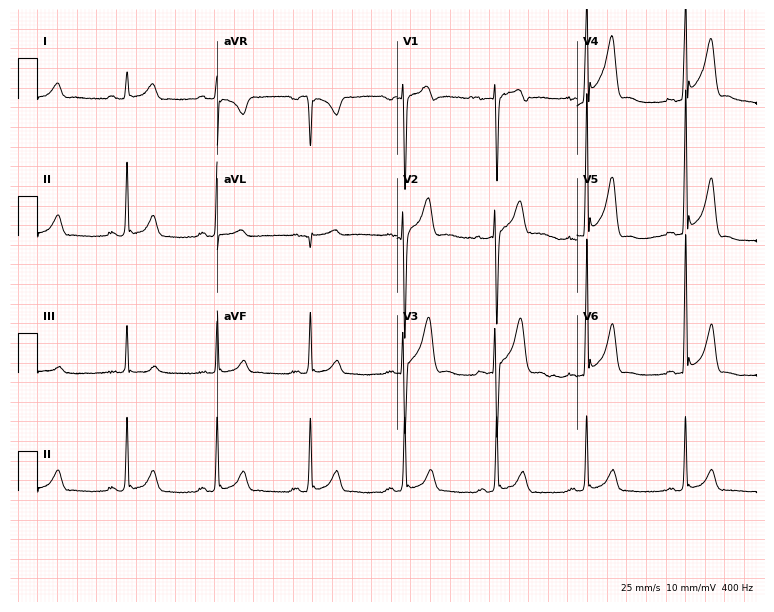
12-lead ECG from a 20-year-old male patient. No first-degree AV block, right bundle branch block (RBBB), left bundle branch block (LBBB), sinus bradycardia, atrial fibrillation (AF) or sinus tachycardia recorded for this tracing. Only these six findings were labelled.